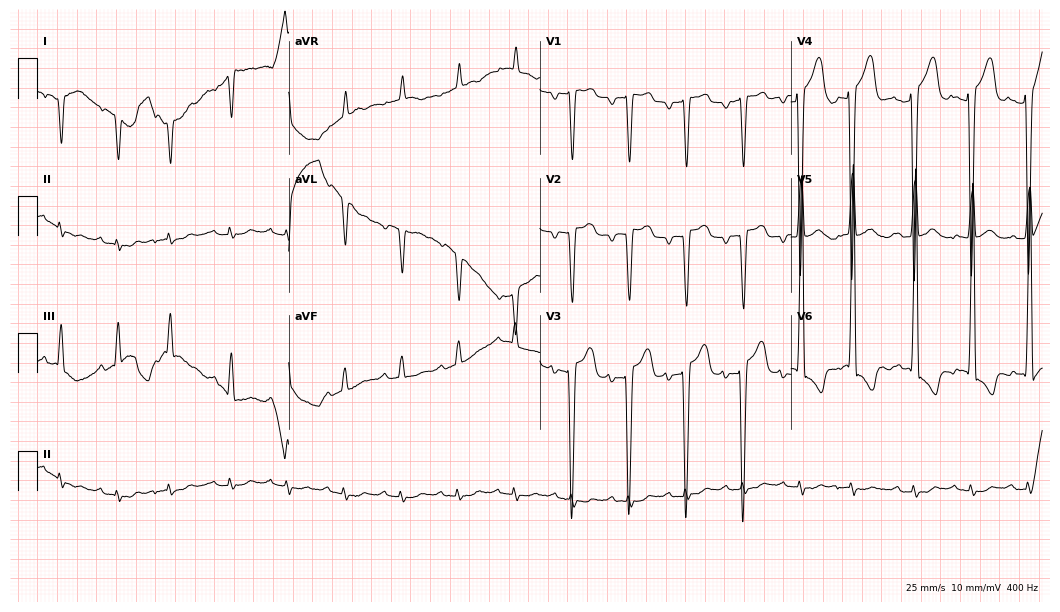
Standard 12-lead ECG recorded from a male, 79 years old. None of these six findings is recorded: first-degree AV block, right bundle branch block, left bundle branch block, sinus bradycardia, atrial fibrillation, sinus tachycardia.